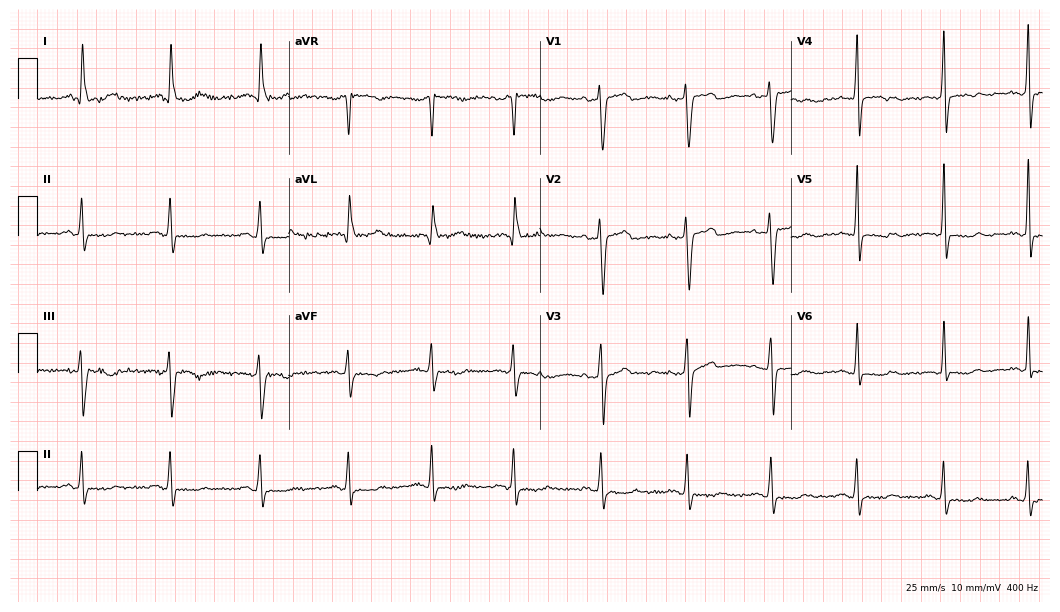
12-lead ECG (10.2-second recording at 400 Hz) from a 58-year-old female patient. Screened for six findings — first-degree AV block, right bundle branch block, left bundle branch block, sinus bradycardia, atrial fibrillation, sinus tachycardia — none is recorded.